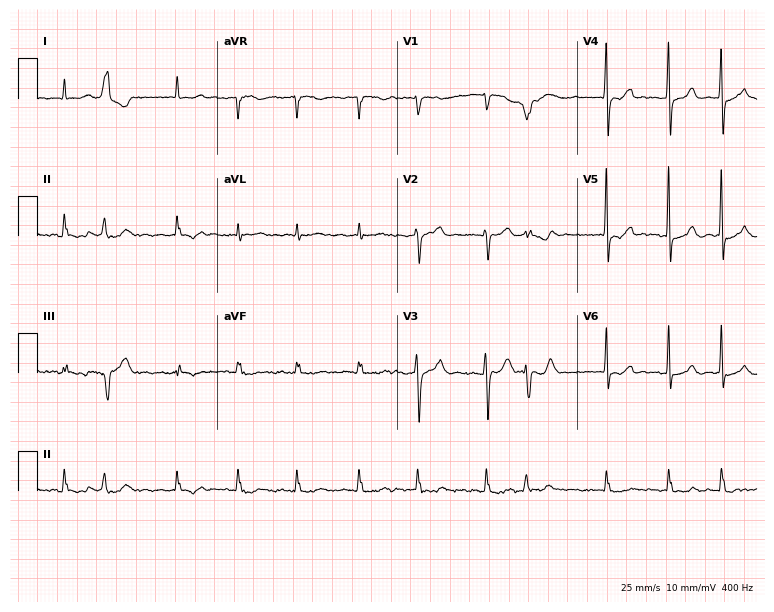
ECG (7.3-second recording at 400 Hz) — an 85-year-old man. Findings include atrial fibrillation (AF).